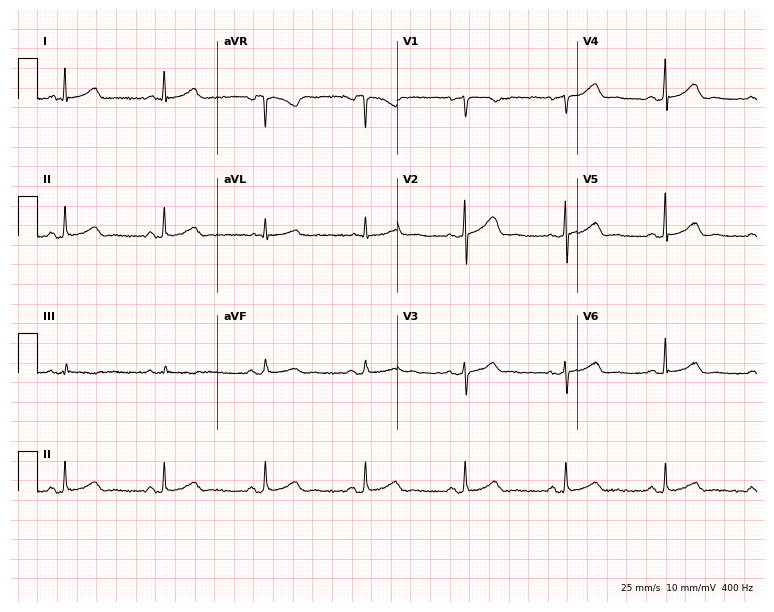
12-lead ECG from a female, 63 years old (7.3-second recording at 400 Hz). Recorded interpretation: within normal limits.